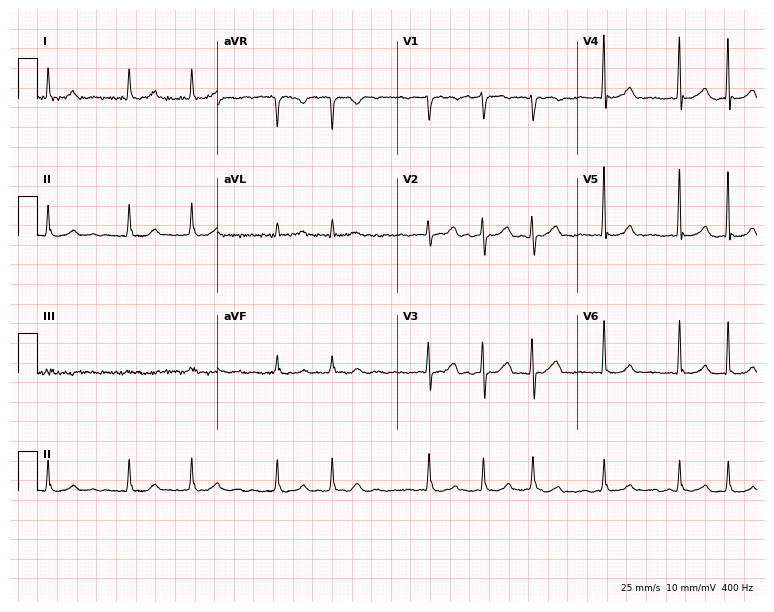
ECG (7.3-second recording at 400 Hz) — a 76-year-old female. Findings include atrial fibrillation (AF).